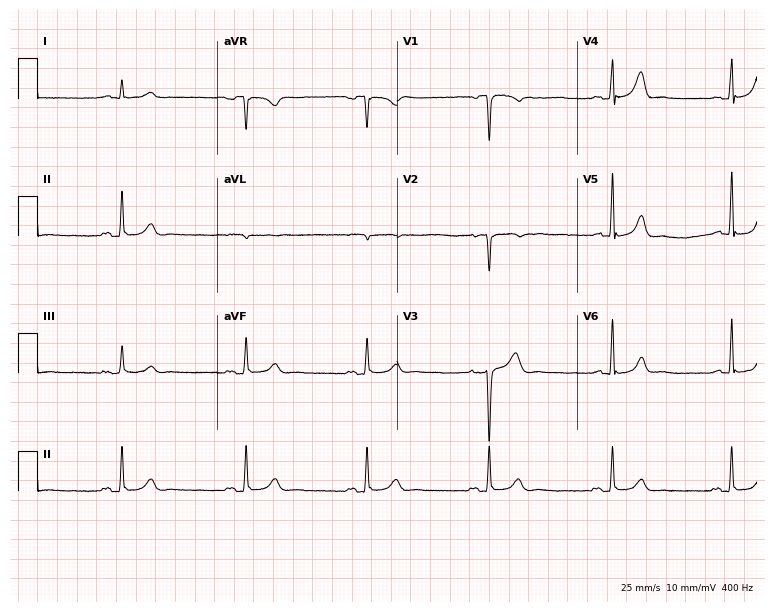
Standard 12-lead ECG recorded from a 45-year-old male patient. The tracing shows sinus bradycardia (a sinus rate of 50 beats per minute or less).